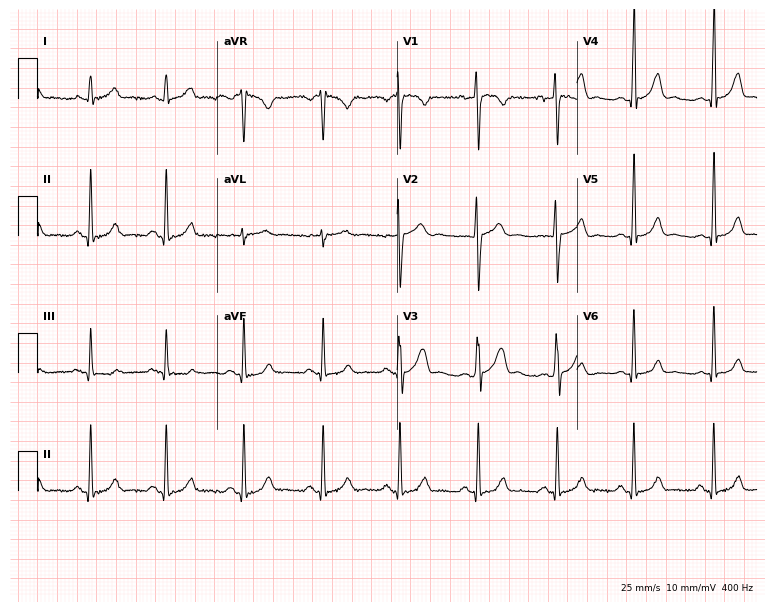
12-lead ECG from a male, 27 years old. Labelled as a normal ECG.